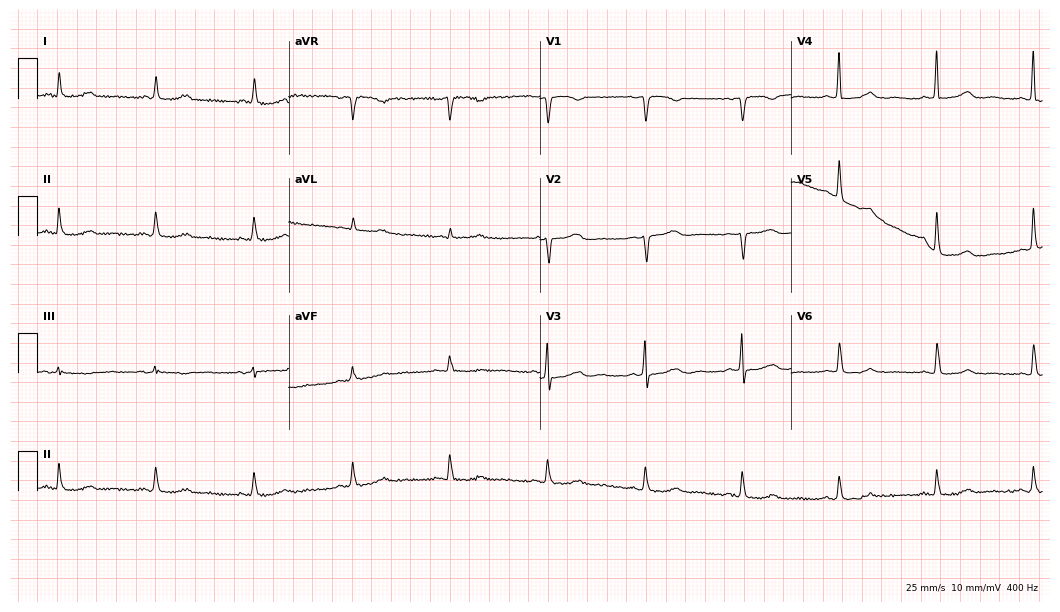
ECG (10.2-second recording at 400 Hz) — a female patient, 67 years old. Screened for six findings — first-degree AV block, right bundle branch block, left bundle branch block, sinus bradycardia, atrial fibrillation, sinus tachycardia — none is recorded.